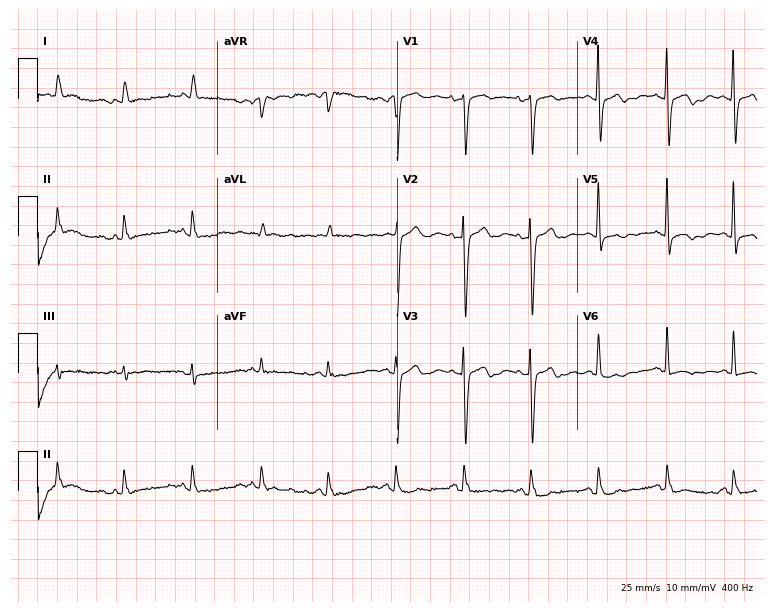
12-lead ECG (7.3-second recording at 400 Hz) from a 79-year-old female patient. Screened for six findings — first-degree AV block, right bundle branch block (RBBB), left bundle branch block (LBBB), sinus bradycardia, atrial fibrillation (AF), sinus tachycardia — none is recorded. Other findings, if any, are not listed.